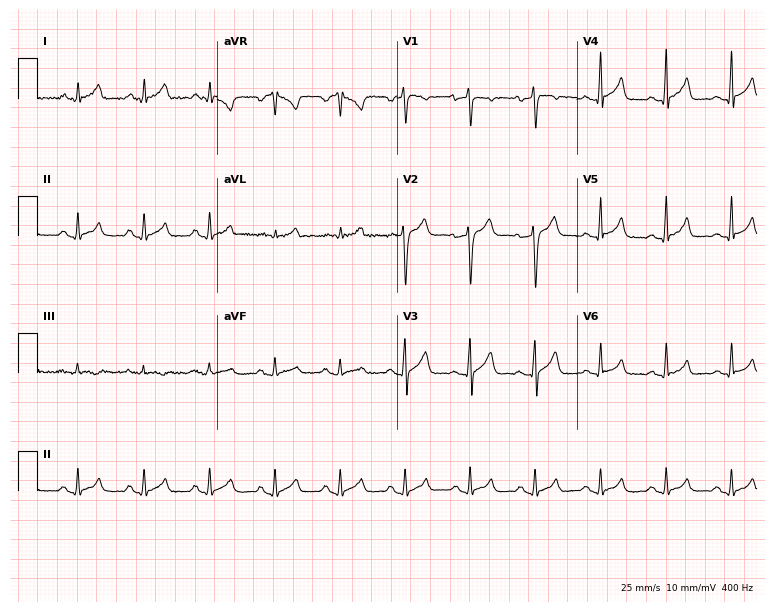
ECG (7.3-second recording at 400 Hz) — a man, 27 years old. Screened for six findings — first-degree AV block, right bundle branch block (RBBB), left bundle branch block (LBBB), sinus bradycardia, atrial fibrillation (AF), sinus tachycardia — none is recorded. Other findings, if any, are not listed.